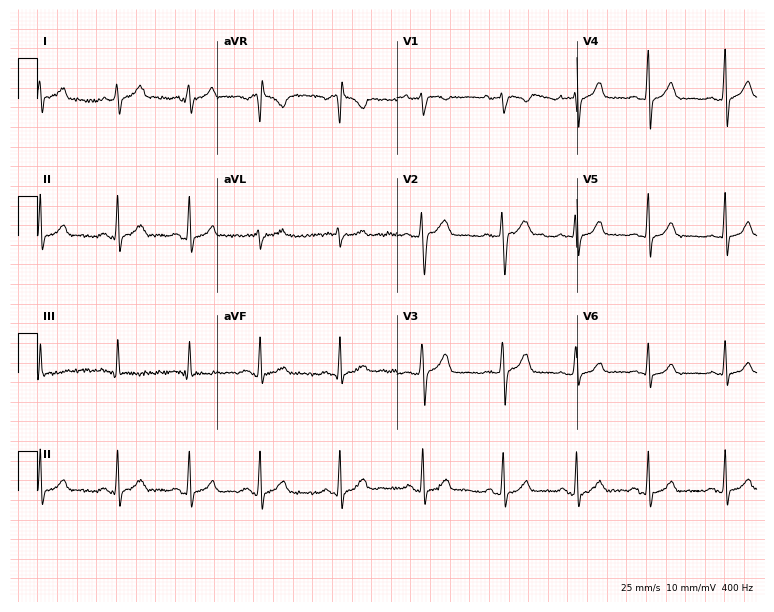
Resting 12-lead electrocardiogram (7.3-second recording at 400 Hz). Patient: a female, 23 years old. Read as a normal ECG.